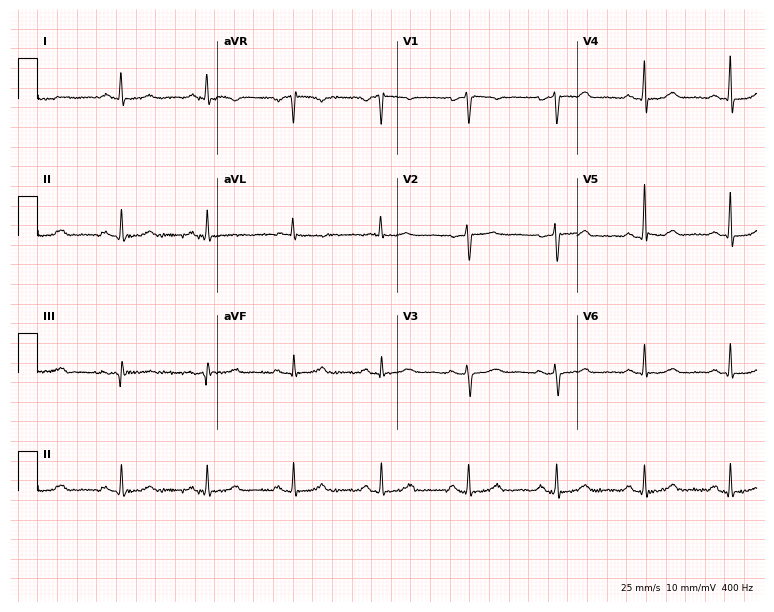
12-lead ECG from a female patient, 47 years old (7.3-second recording at 400 Hz). No first-degree AV block, right bundle branch block (RBBB), left bundle branch block (LBBB), sinus bradycardia, atrial fibrillation (AF) or sinus tachycardia recorded for this tracing.